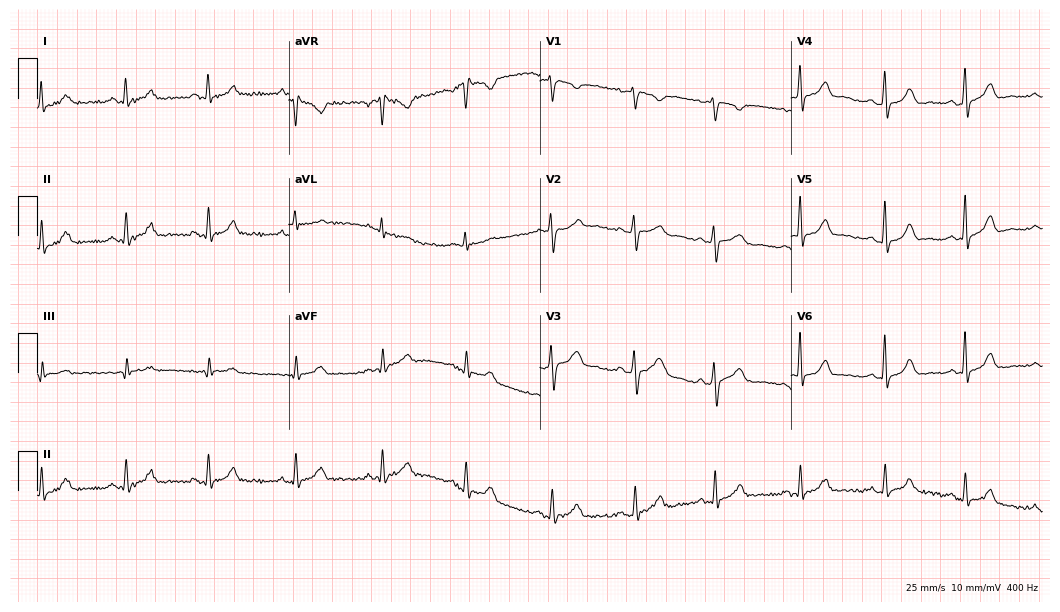
ECG (10.2-second recording at 400 Hz) — a female, 43 years old. Labelled as a normal ECG.